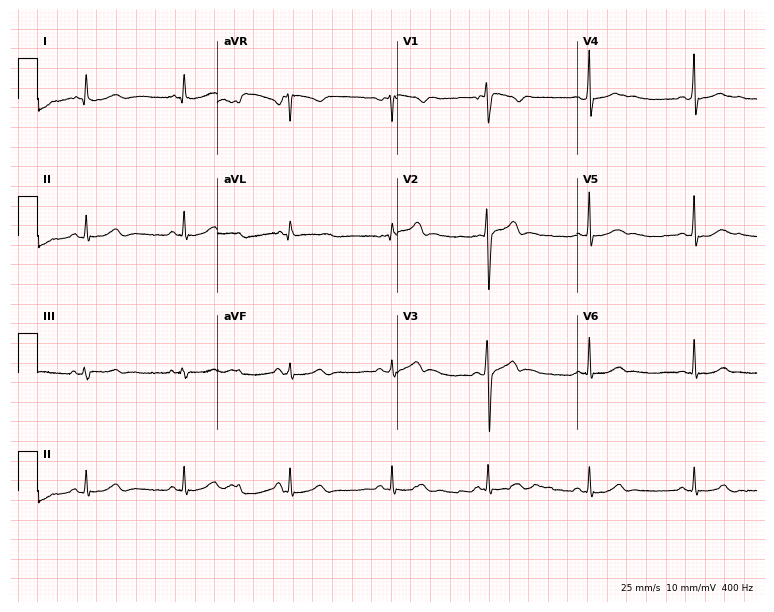
12-lead ECG from a 22-year-old female patient (7.3-second recording at 400 Hz). Recorded interpretation: within normal limits.